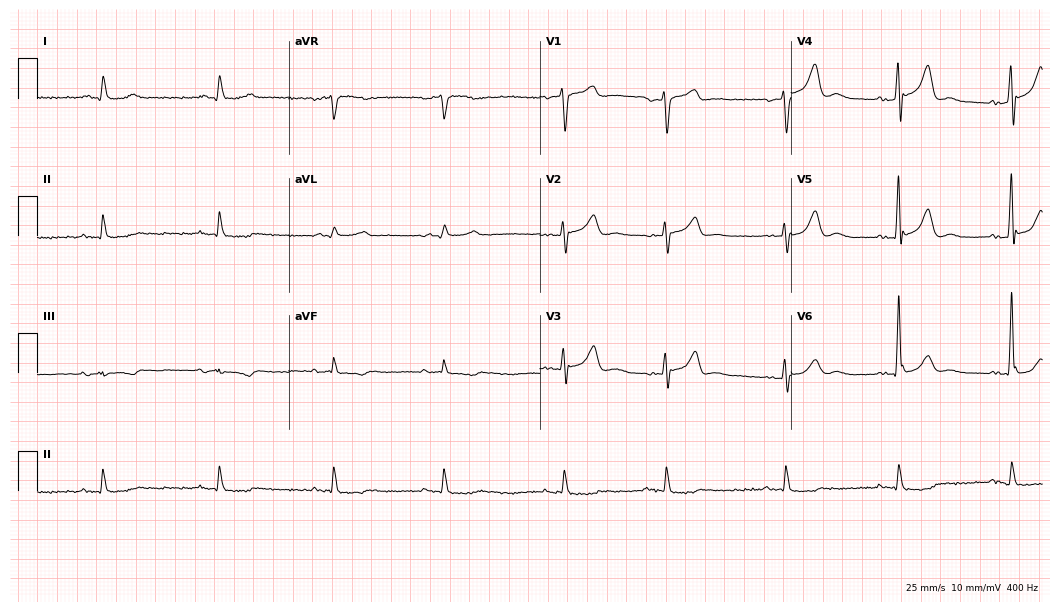
12-lead ECG from a male patient, 80 years old. No first-degree AV block, right bundle branch block, left bundle branch block, sinus bradycardia, atrial fibrillation or sinus tachycardia recorded for this tracing.